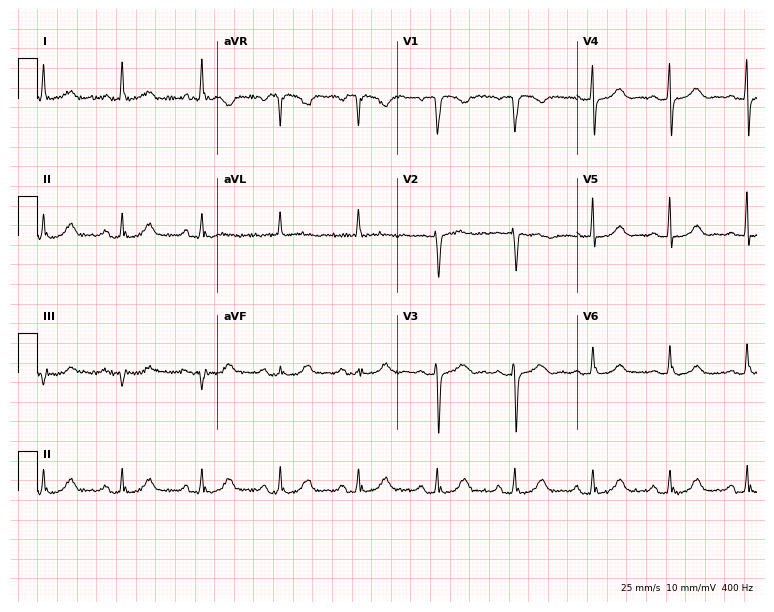
12-lead ECG from a 71-year-old female. Recorded interpretation: within normal limits.